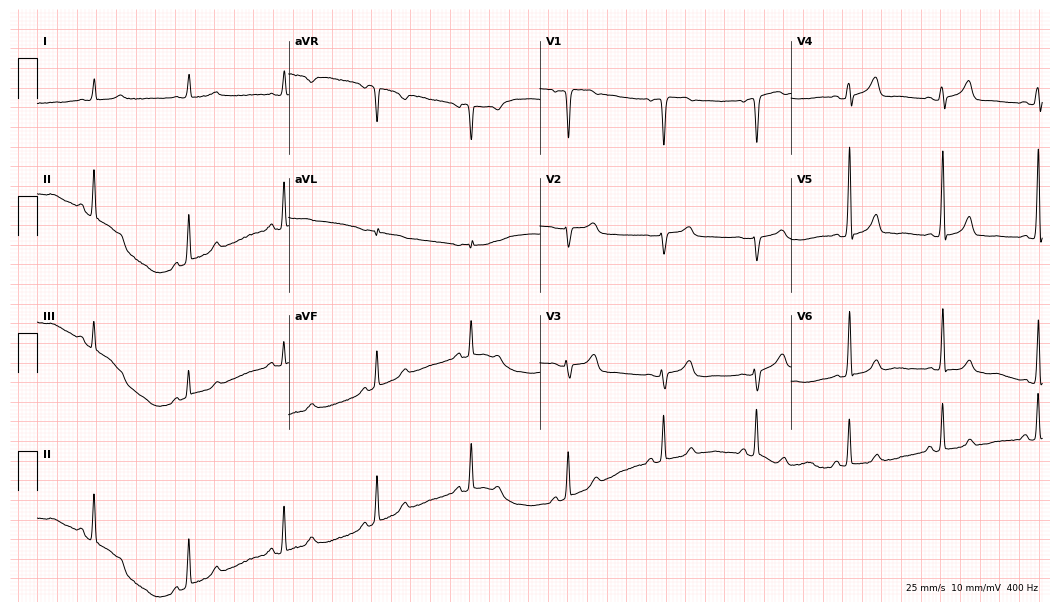
12-lead ECG from a female patient, 81 years old (10.2-second recording at 400 Hz). Recorded interpretation: within normal limits.